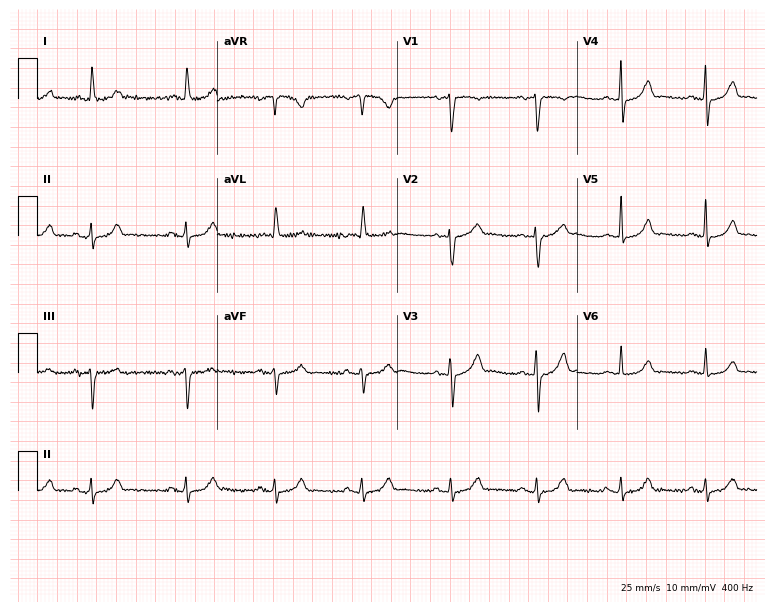
Resting 12-lead electrocardiogram (7.3-second recording at 400 Hz). Patient: a 74-year-old woman. Read as a normal ECG.